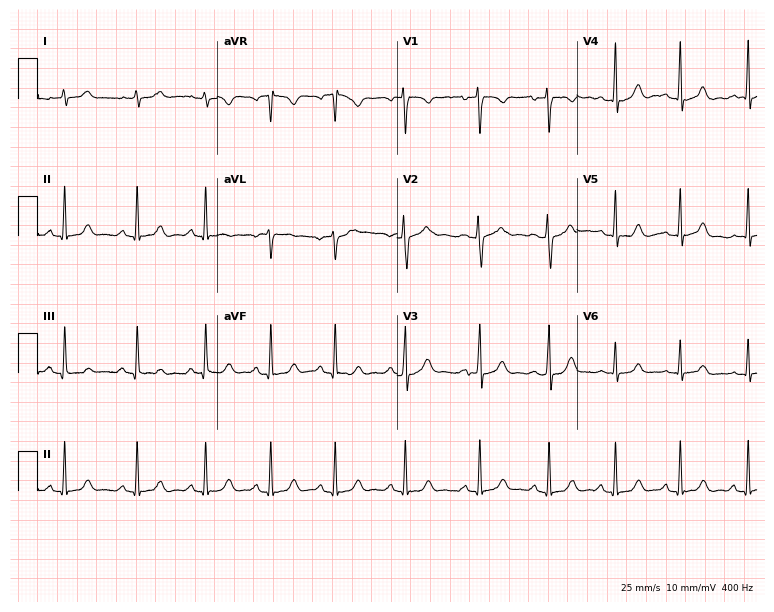
Electrocardiogram, a 17-year-old female. Overall reading on record: normal ECG.